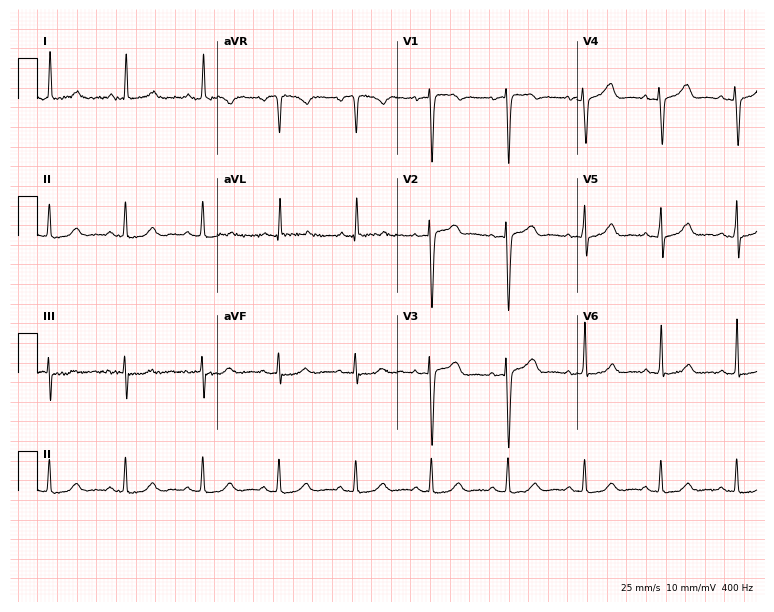
ECG — a female patient, 65 years old. Labelled as a normal ECG.